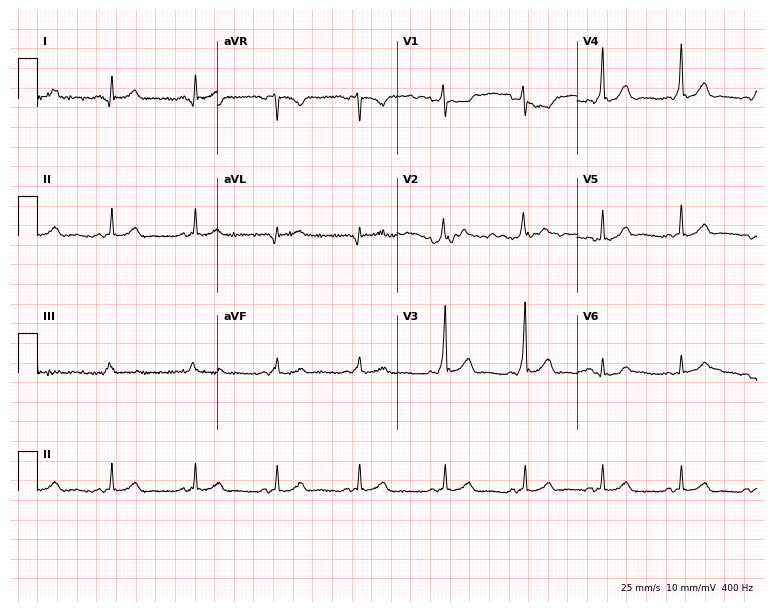
12-lead ECG (7.3-second recording at 400 Hz) from a 36-year-old woman. Screened for six findings — first-degree AV block, right bundle branch block, left bundle branch block, sinus bradycardia, atrial fibrillation, sinus tachycardia — none is recorded.